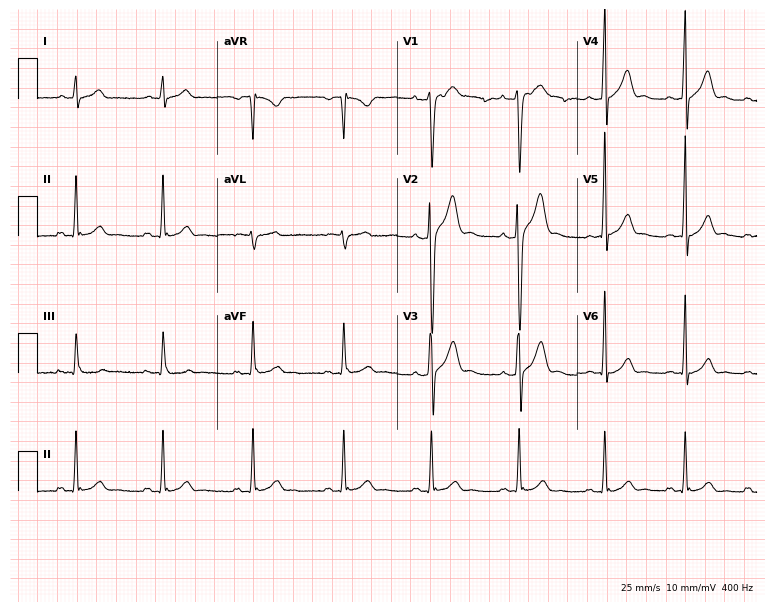
Standard 12-lead ECG recorded from a man, 26 years old (7.3-second recording at 400 Hz). None of these six findings is recorded: first-degree AV block, right bundle branch block, left bundle branch block, sinus bradycardia, atrial fibrillation, sinus tachycardia.